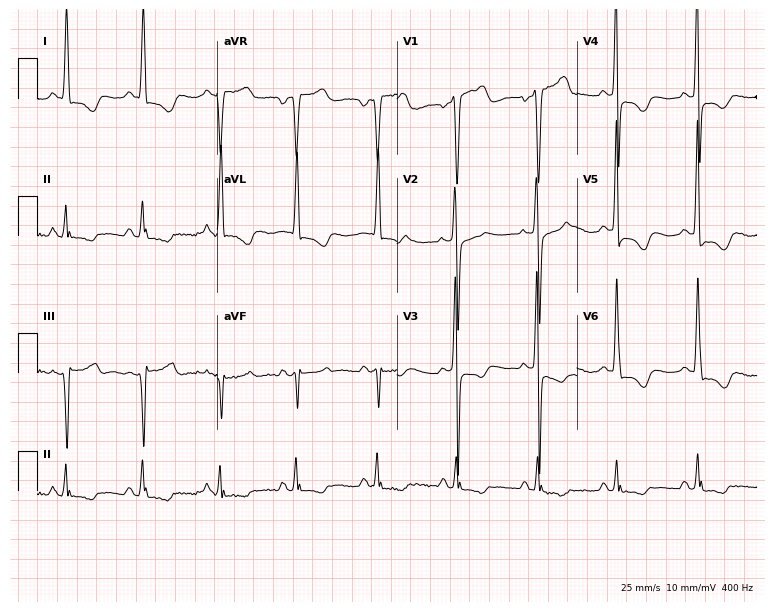
Standard 12-lead ECG recorded from a 41-year-old male (7.3-second recording at 400 Hz). None of these six findings is recorded: first-degree AV block, right bundle branch block, left bundle branch block, sinus bradycardia, atrial fibrillation, sinus tachycardia.